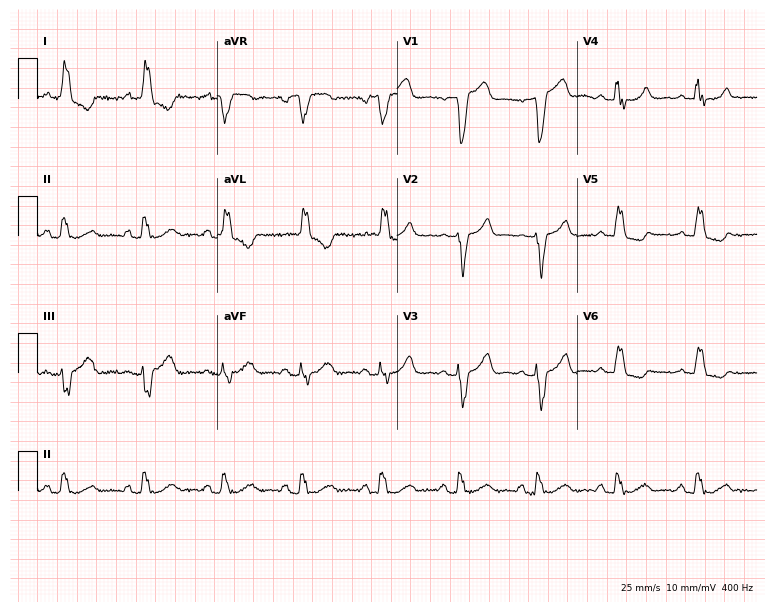
ECG — a 75-year-old female patient. Findings include left bundle branch block.